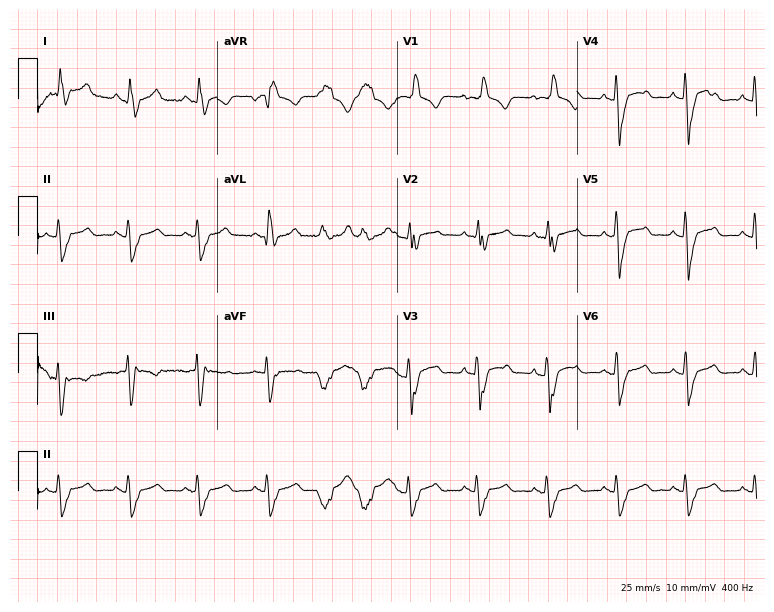
12-lead ECG (7.3-second recording at 400 Hz) from a male, 48 years old. Findings include right bundle branch block.